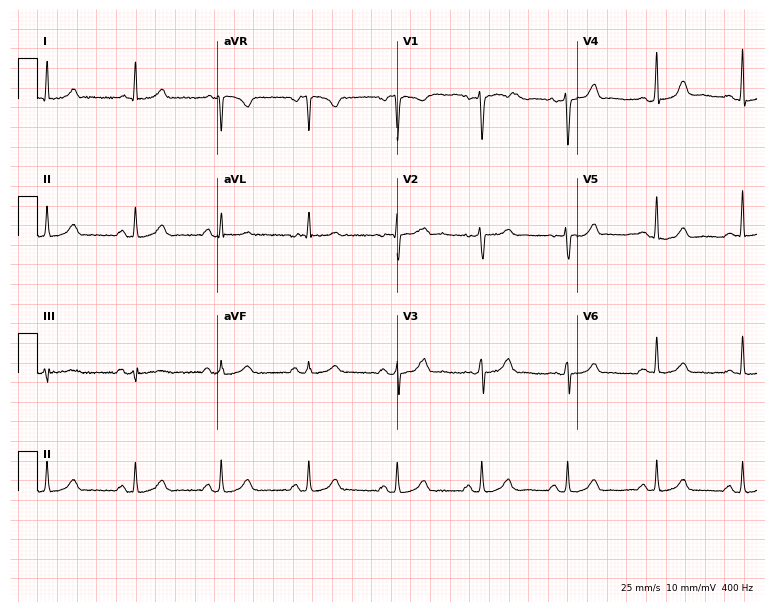
Electrocardiogram (7.3-second recording at 400 Hz), a female patient, 39 years old. Overall reading on record: normal ECG.